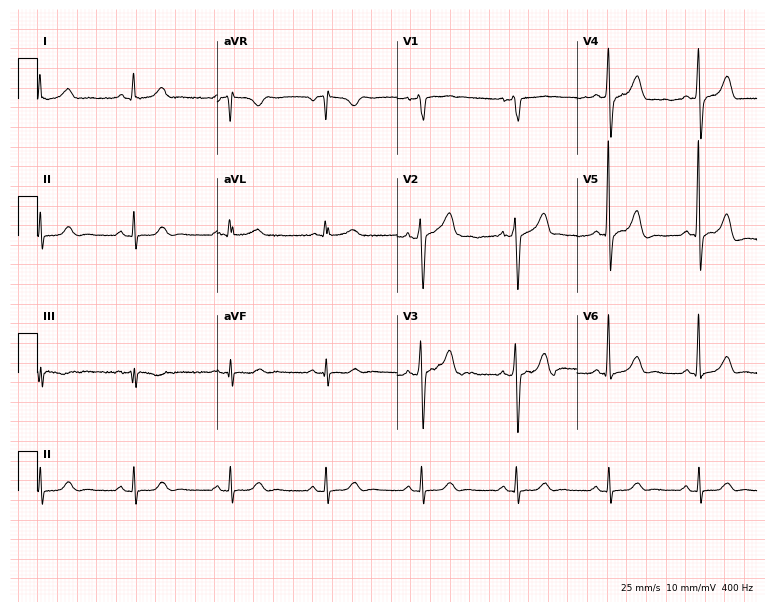
Standard 12-lead ECG recorded from a female patient, 68 years old. None of these six findings is recorded: first-degree AV block, right bundle branch block (RBBB), left bundle branch block (LBBB), sinus bradycardia, atrial fibrillation (AF), sinus tachycardia. Only these six findings were labelled.